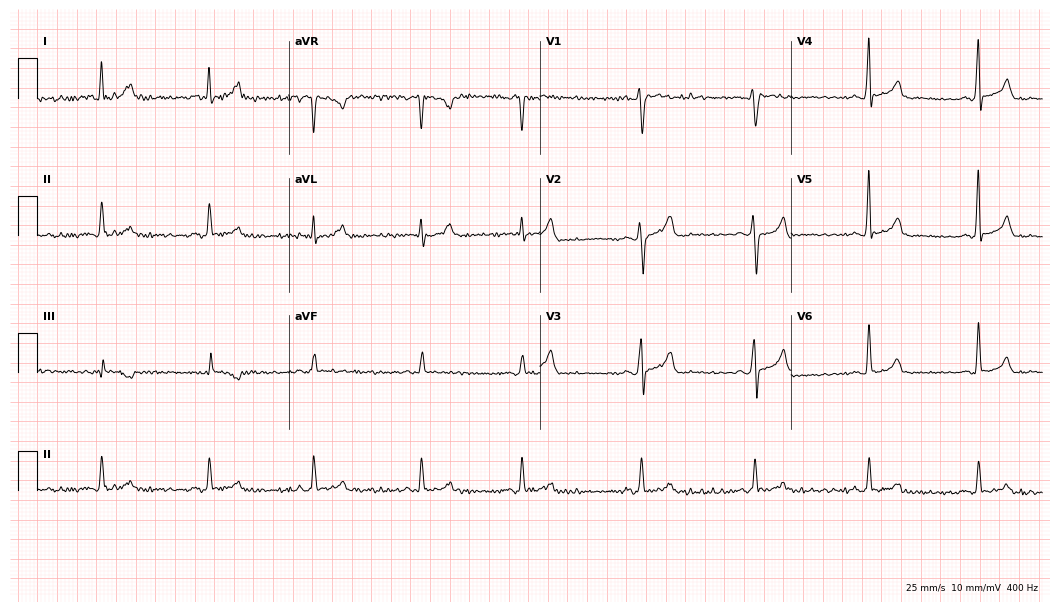
12-lead ECG from a 26-year-old man. Labelled as a normal ECG.